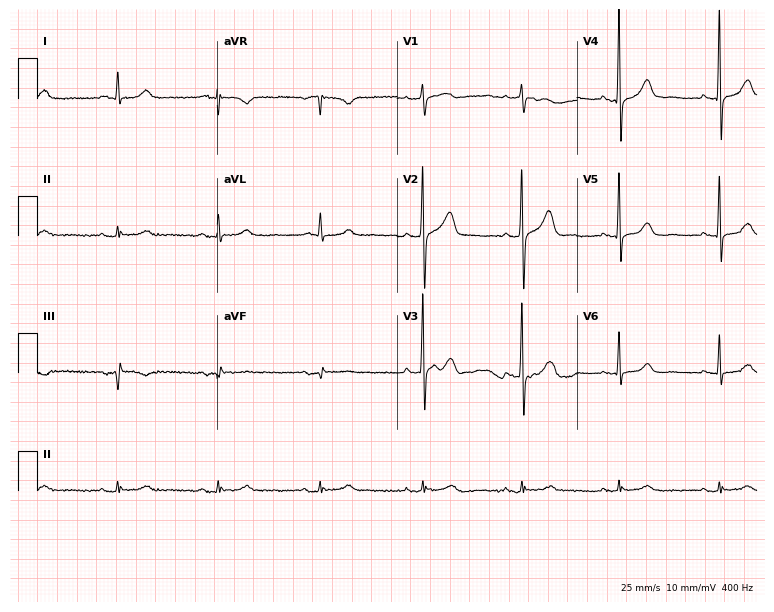
12-lead ECG from an 83-year-old male. Screened for six findings — first-degree AV block, right bundle branch block, left bundle branch block, sinus bradycardia, atrial fibrillation, sinus tachycardia — none is recorded. Only these six findings were labelled.